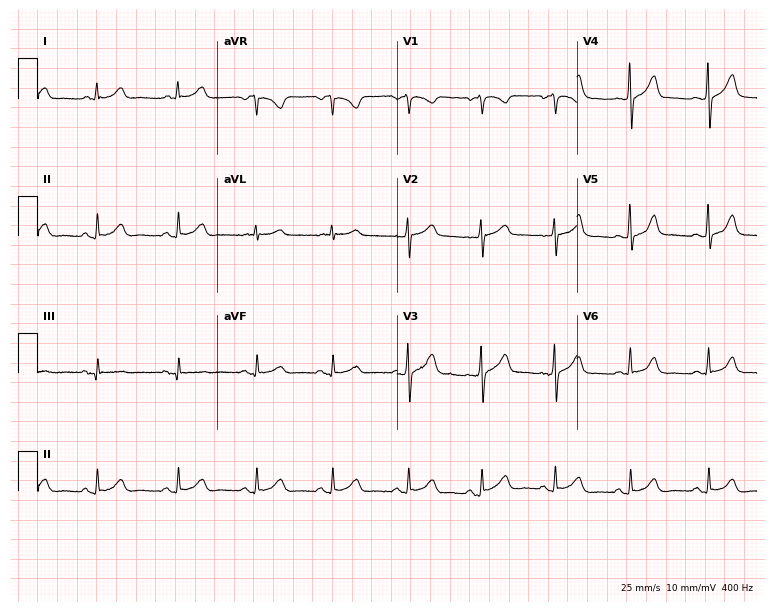
Resting 12-lead electrocardiogram. Patient: a female, 36 years old. None of these six findings is recorded: first-degree AV block, right bundle branch block, left bundle branch block, sinus bradycardia, atrial fibrillation, sinus tachycardia.